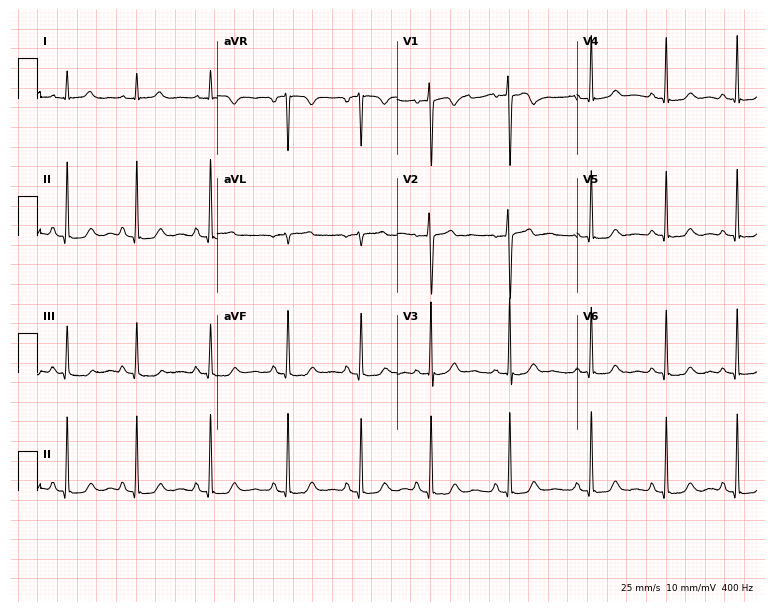
12-lead ECG from a female patient, 30 years old. Labelled as a normal ECG.